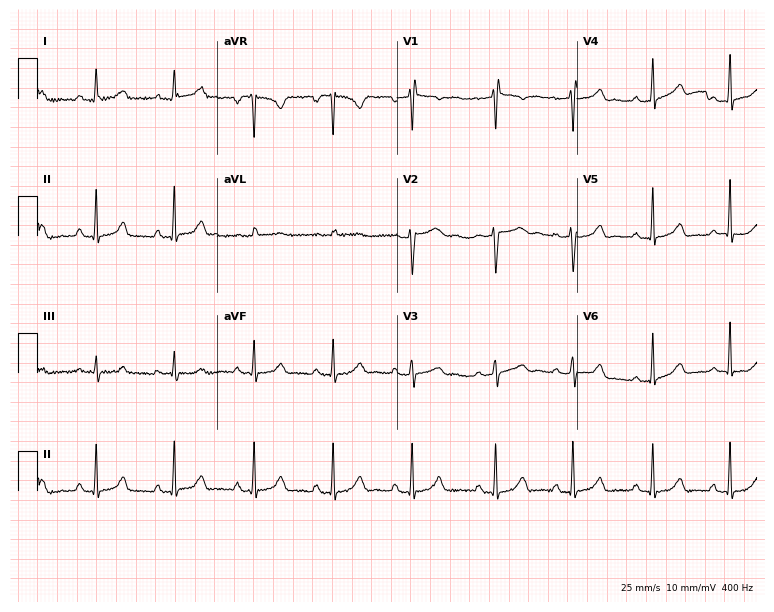
Standard 12-lead ECG recorded from a female patient, 31 years old (7.3-second recording at 400 Hz). None of these six findings is recorded: first-degree AV block, right bundle branch block (RBBB), left bundle branch block (LBBB), sinus bradycardia, atrial fibrillation (AF), sinus tachycardia. Other findings, if any, are not listed.